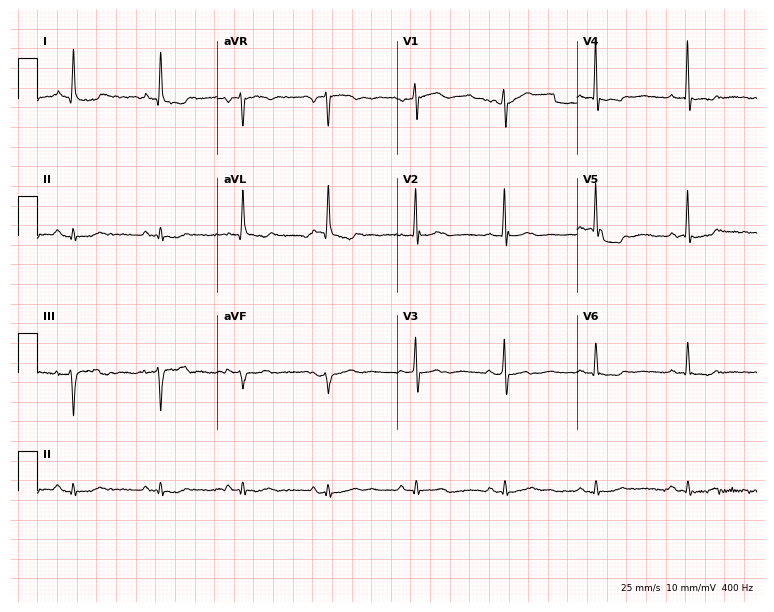
ECG — a man, 61 years old. Screened for six findings — first-degree AV block, right bundle branch block, left bundle branch block, sinus bradycardia, atrial fibrillation, sinus tachycardia — none is recorded.